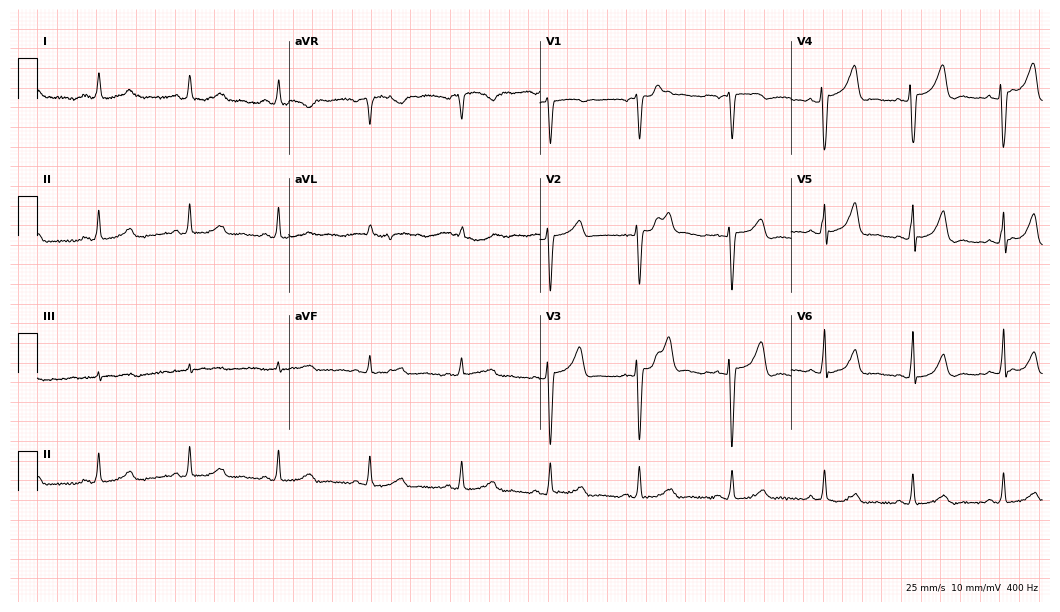
Standard 12-lead ECG recorded from a 54-year-old female. Read as a normal ECG.